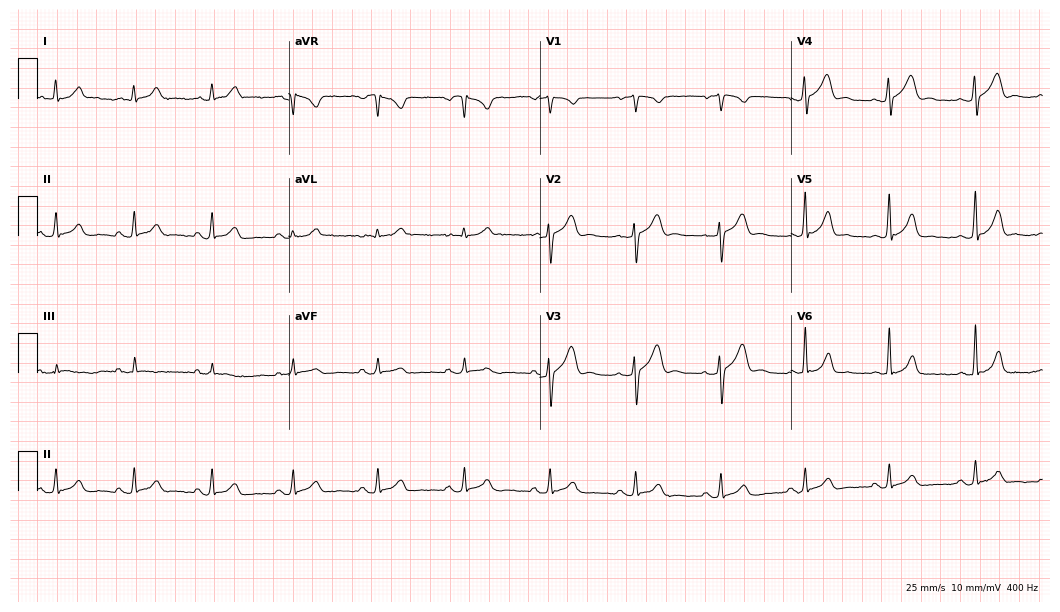
ECG — a 39-year-old man. Labelled as a normal ECG.